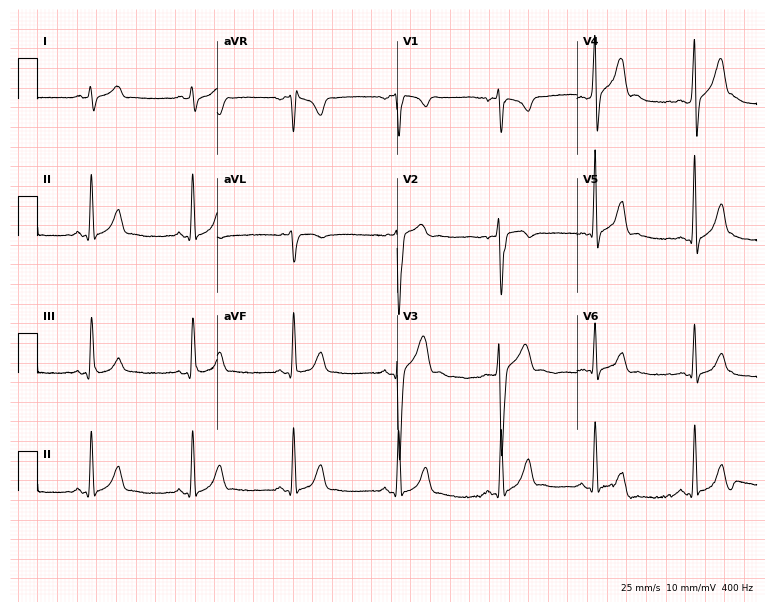
Standard 12-lead ECG recorded from a male, 19 years old (7.3-second recording at 400 Hz). None of these six findings is recorded: first-degree AV block, right bundle branch block (RBBB), left bundle branch block (LBBB), sinus bradycardia, atrial fibrillation (AF), sinus tachycardia.